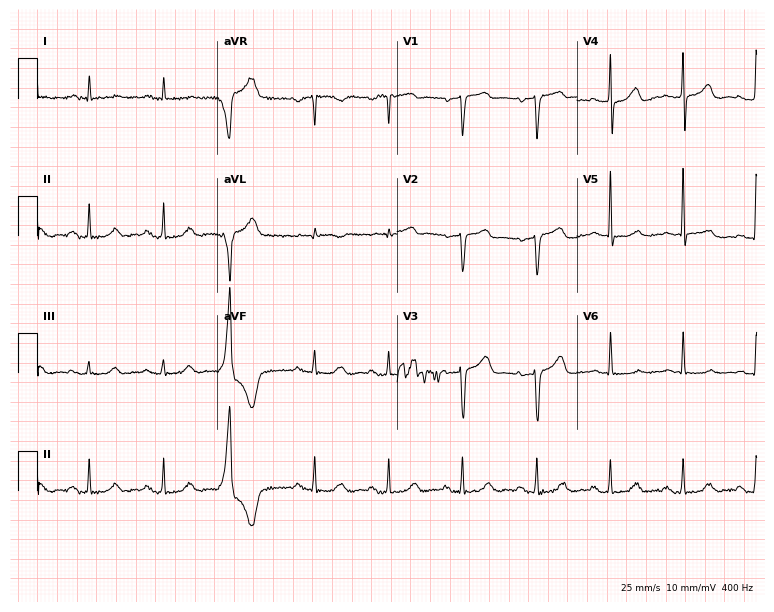
12-lead ECG from a male patient, 76 years old. Screened for six findings — first-degree AV block, right bundle branch block (RBBB), left bundle branch block (LBBB), sinus bradycardia, atrial fibrillation (AF), sinus tachycardia — none is recorded.